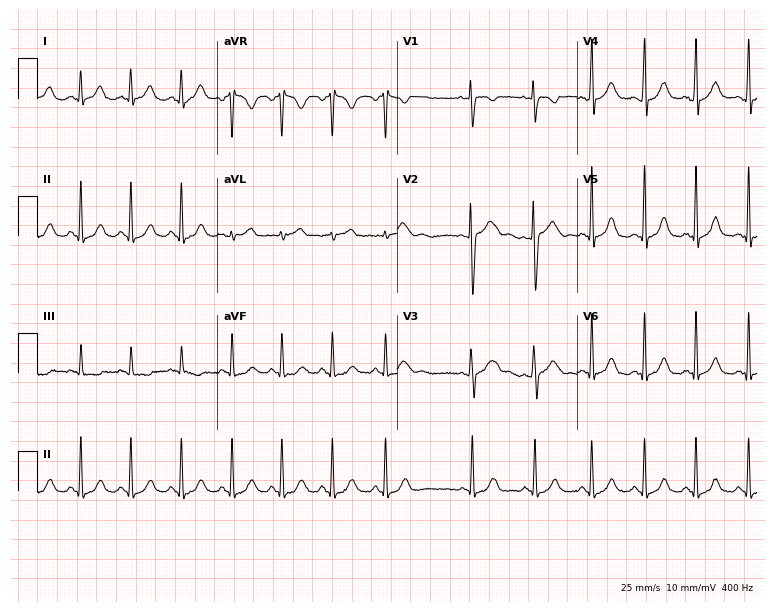
Electrocardiogram (7.3-second recording at 400 Hz), a 26-year-old female patient. Interpretation includes sinus tachycardia (a sinus rate of 100 beats per minute or more).